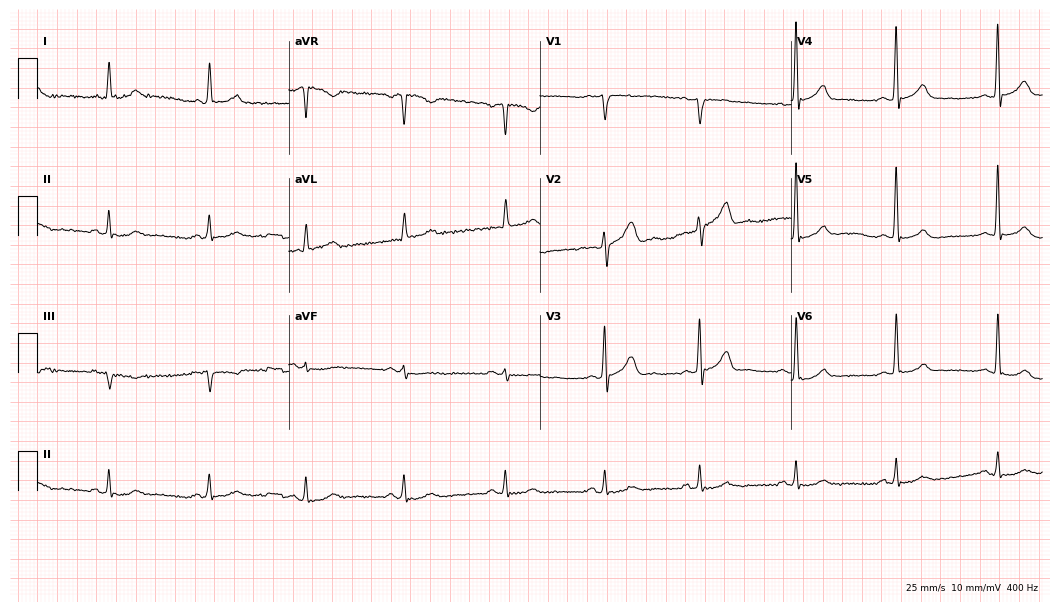
Standard 12-lead ECG recorded from a male patient, 64 years old (10.2-second recording at 400 Hz). Read as a normal ECG.